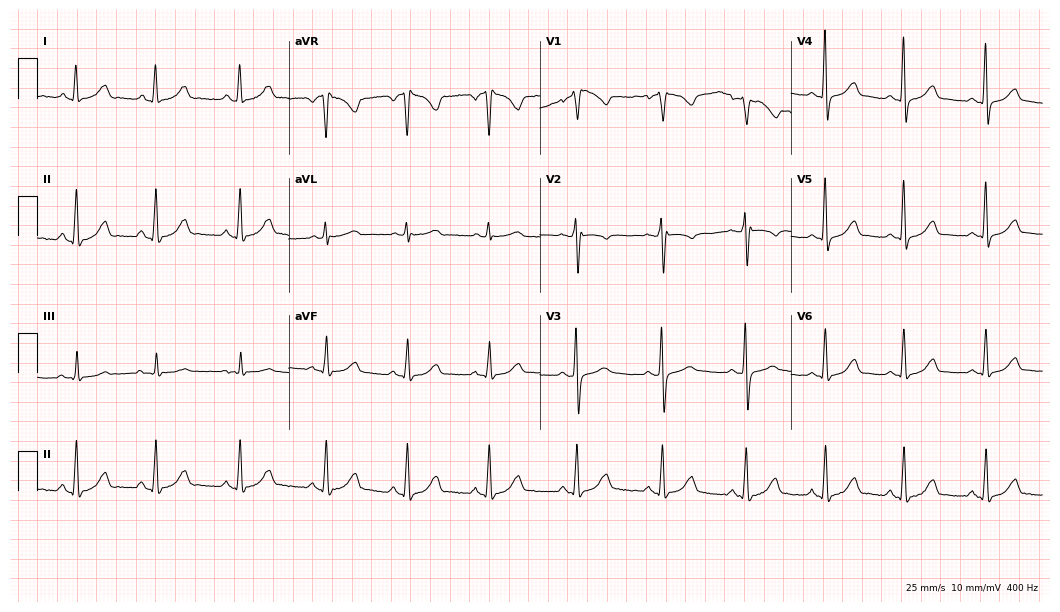
Electrocardiogram, a 47-year-old female patient. Of the six screened findings (first-degree AV block, right bundle branch block, left bundle branch block, sinus bradycardia, atrial fibrillation, sinus tachycardia), none is recorded. Findings outside these six are not listed.